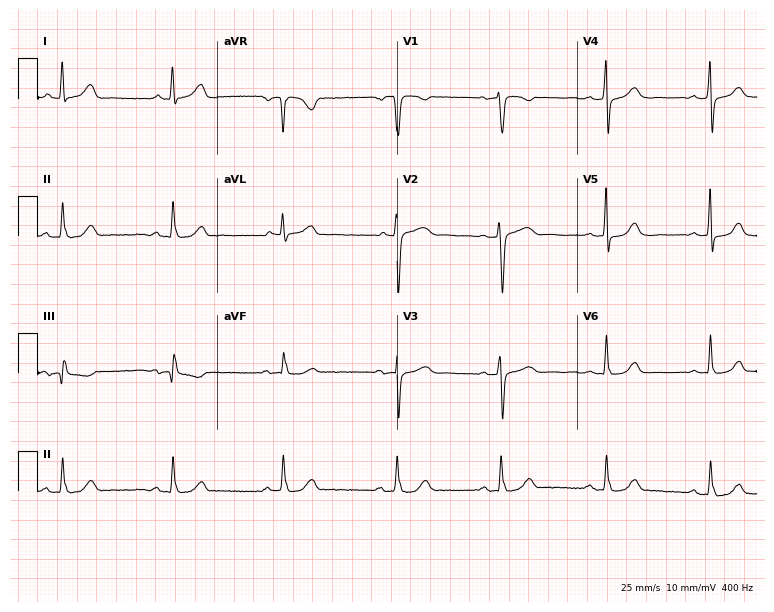
Resting 12-lead electrocardiogram. Patient: a female, 55 years old. None of these six findings is recorded: first-degree AV block, right bundle branch block, left bundle branch block, sinus bradycardia, atrial fibrillation, sinus tachycardia.